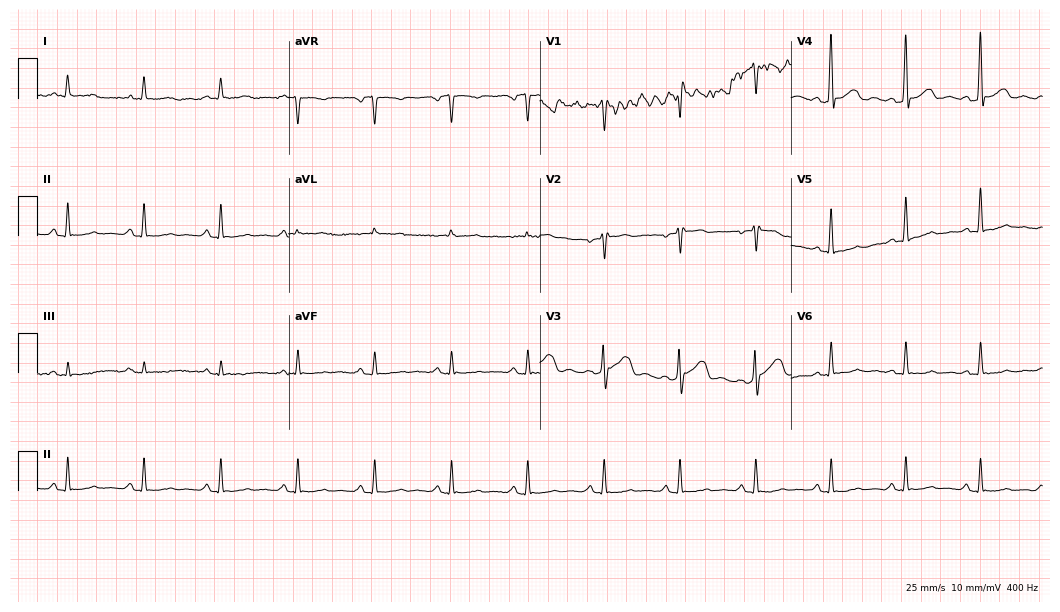
ECG (10.2-second recording at 400 Hz) — a male, 60 years old. Screened for six findings — first-degree AV block, right bundle branch block, left bundle branch block, sinus bradycardia, atrial fibrillation, sinus tachycardia — none is recorded. Other findings, if any, are not listed.